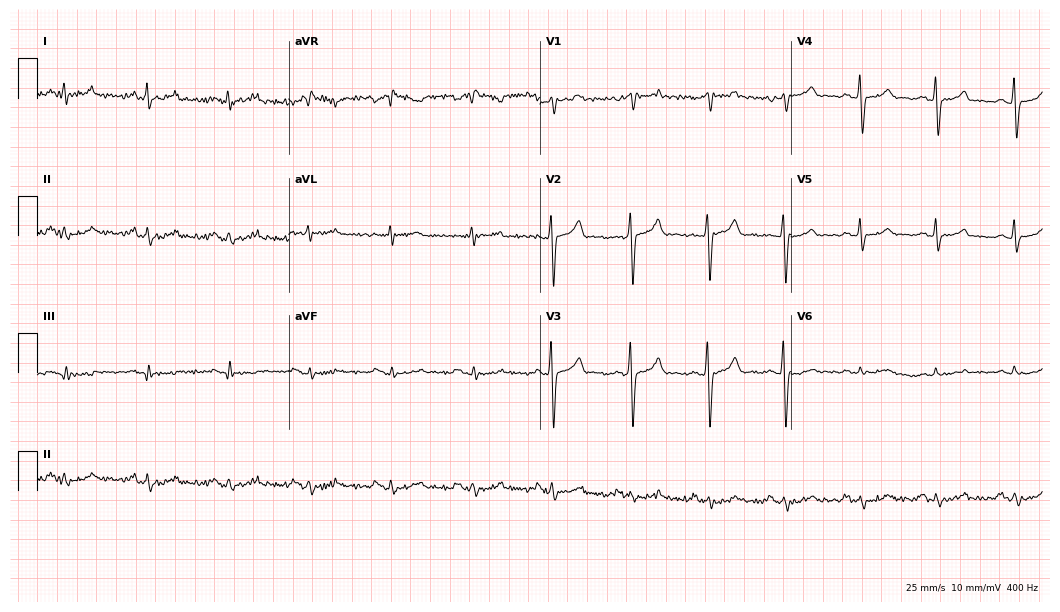
ECG (10.2-second recording at 400 Hz) — a female patient, 52 years old. Screened for six findings — first-degree AV block, right bundle branch block, left bundle branch block, sinus bradycardia, atrial fibrillation, sinus tachycardia — none is recorded. Only these six findings were labelled.